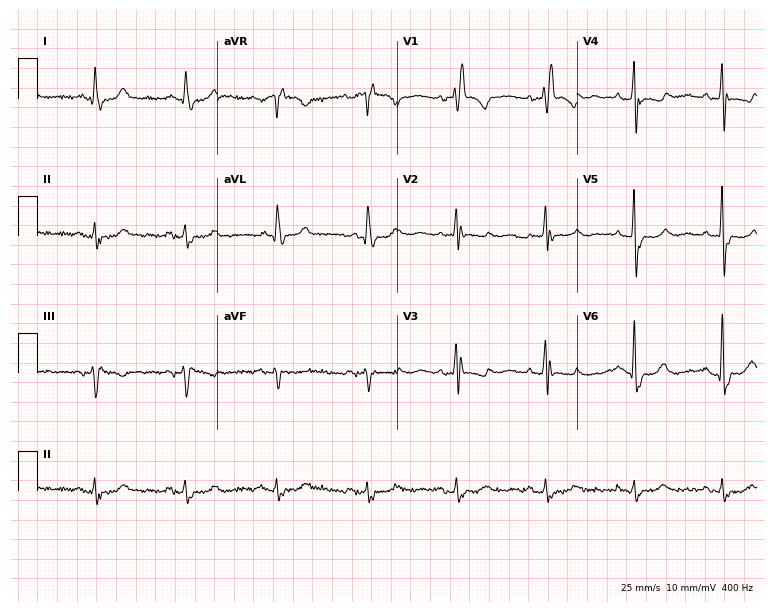
Standard 12-lead ECG recorded from an 80-year-old male. The tracing shows right bundle branch block.